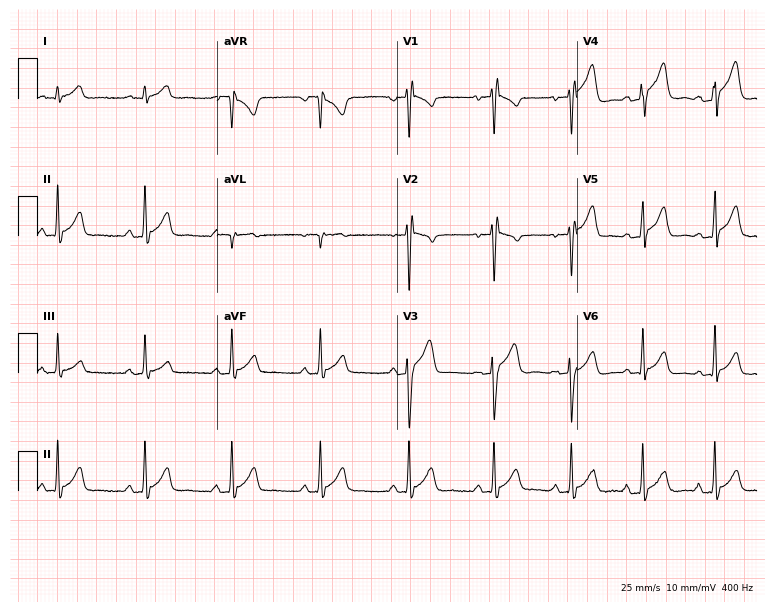
Electrocardiogram, a 32-year-old man. Of the six screened findings (first-degree AV block, right bundle branch block, left bundle branch block, sinus bradycardia, atrial fibrillation, sinus tachycardia), none is recorded.